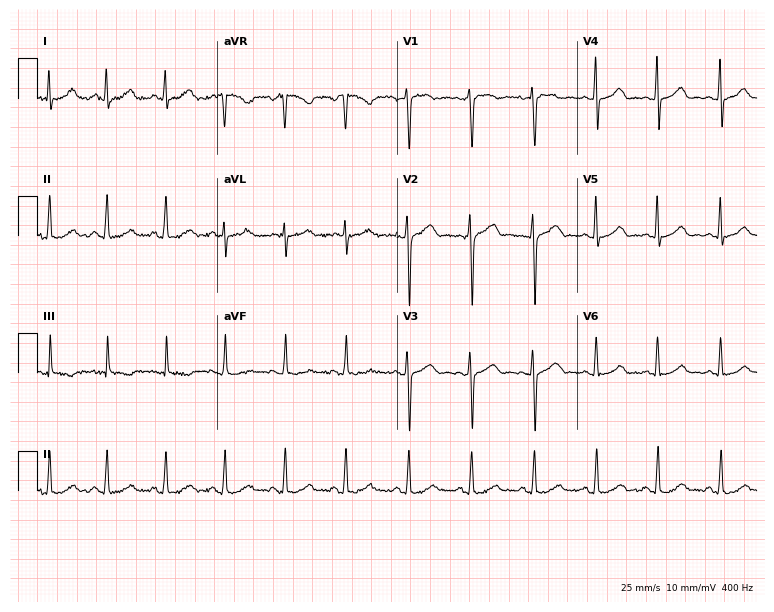
Resting 12-lead electrocardiogram. Patient: a female, 39 years old. Read as a normal ECG.